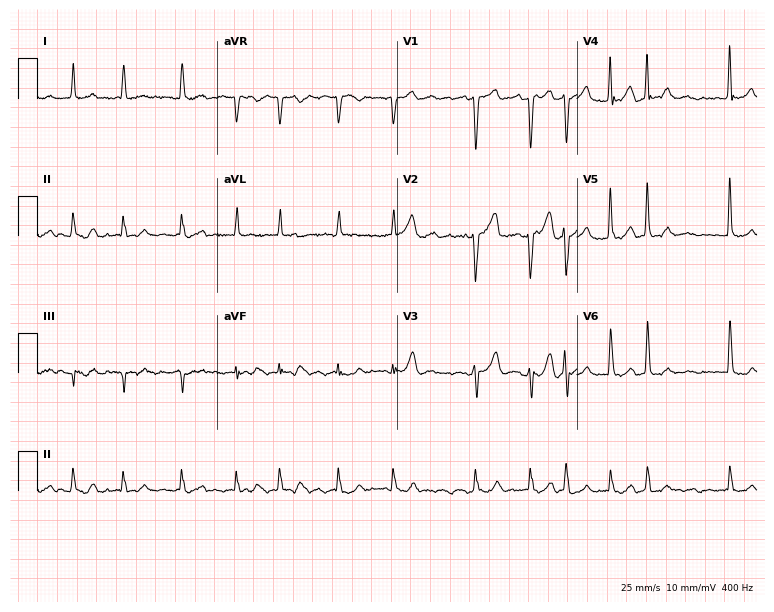
Resting 12-lead electrocardiogram (7.3-second recording at 400 Hz). Patient: a male, 82 years old. The tracing shows atrial fibrillation.